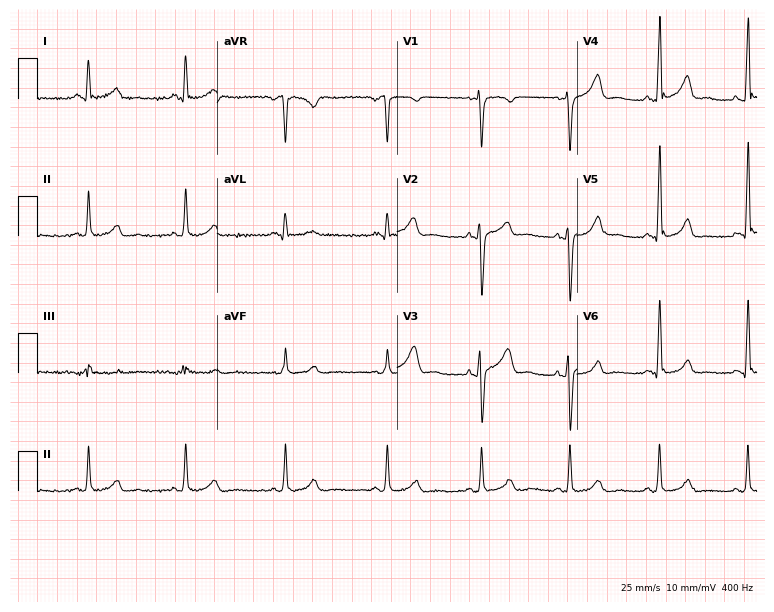
12-lead ECG from a 36-year-old man. Recorded interpretation: within normal limits.